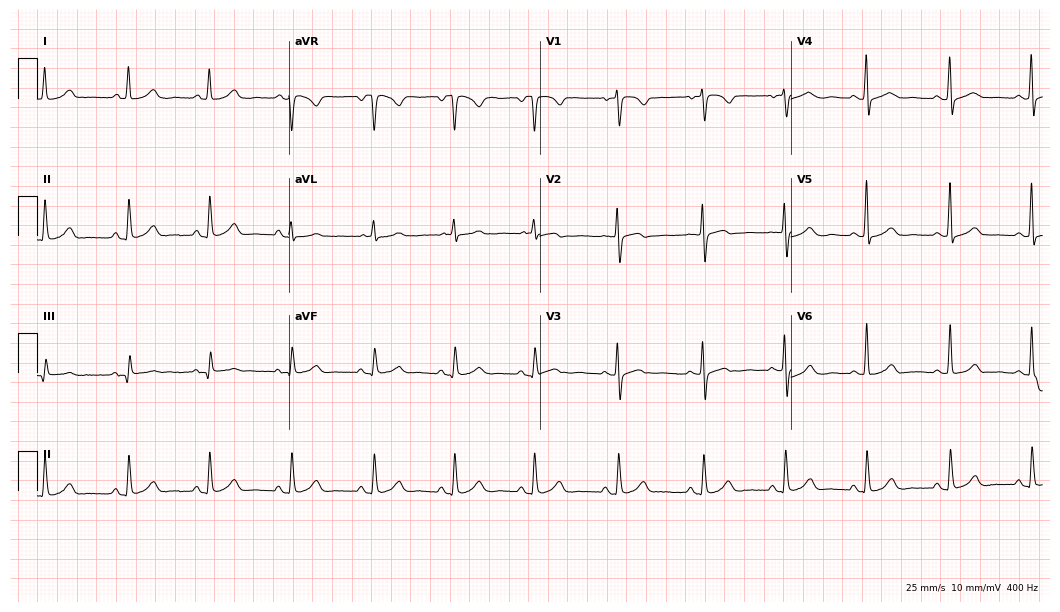
Standard 12-lead ECG recorded from a 69-year-old female patient. None of these six findings is recorded: first-degree AV block, right bundle branch block (RBBB), left bundle branch block (LBBB), sinus bradycardia, atrial fibrillation (AF), sinus tachycardia.